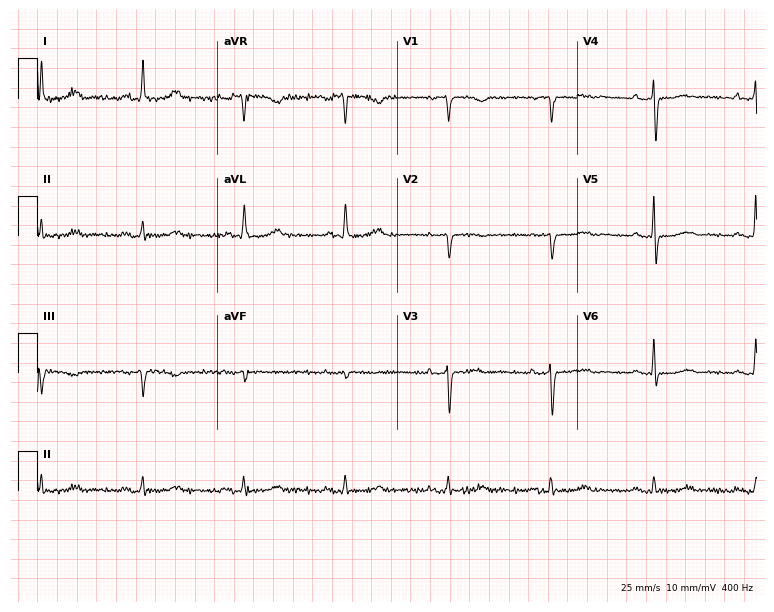
Resting 12-lead electrocardiogram. Patient: a 60-year-old female. None of these six findings is recorded: first-degree AV block, right bundle branch block, left bundle branch block, sinus bradycardia, atrial fibrillation, sinus tachycardia.